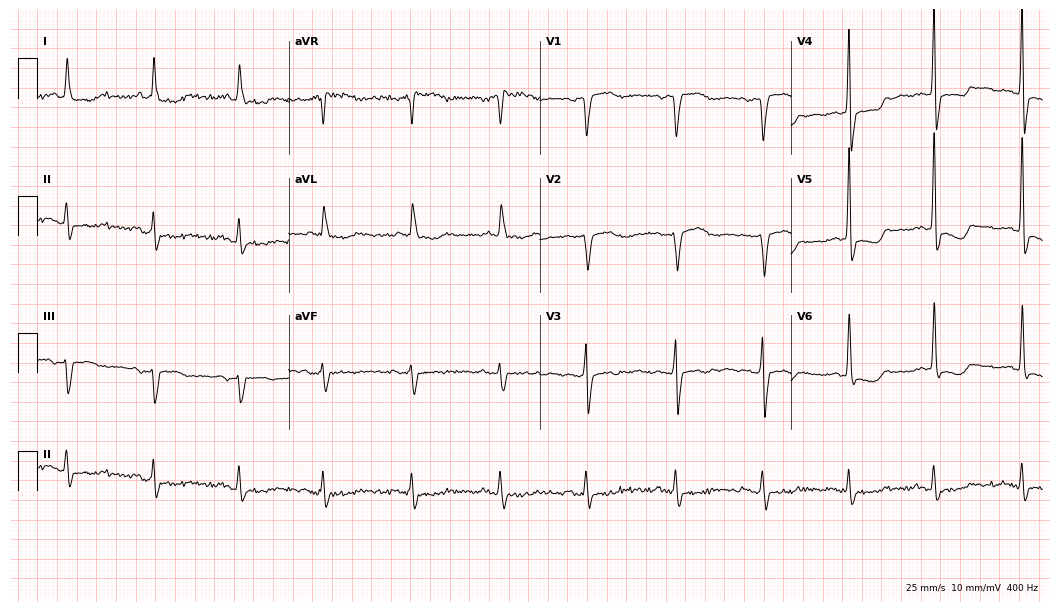
Resting 12-lead electrocardiogram. Patient: a woman, 78 years old. None of these six findings is recorded: first-degree AV block, right bundle branch block (RBBB), left bundle branch block (LBBB), sinus bradycardia, atrial fibrillation (AF), sinus tachycardia.